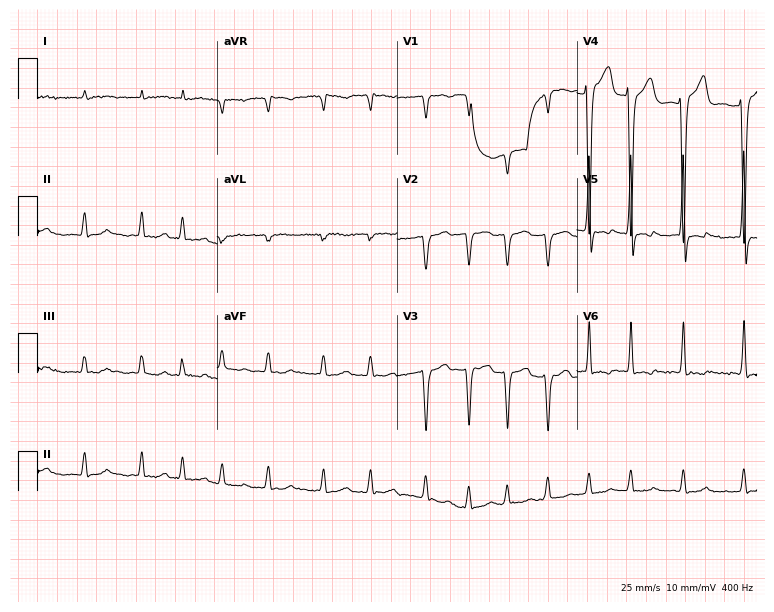
12-lead ECG from a 78-year-old male (7.3-second recording at 400 Hz). Shows atrial fibrillation.